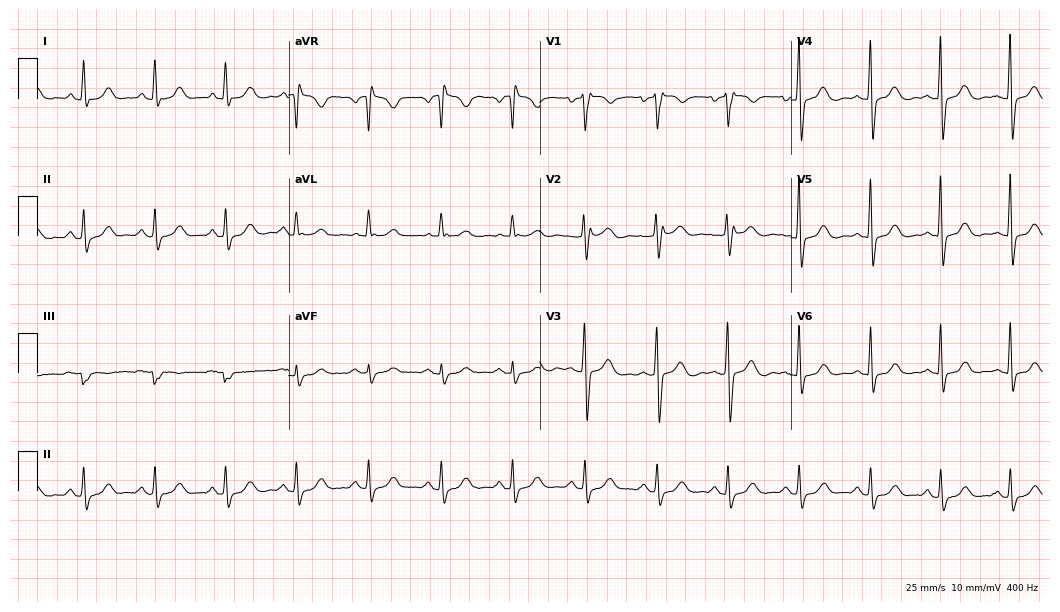
12-lead ECG from a 49-year-old woman. No first-degree AV block, right bundle branch block (RBBB), left bundle branch block (LBBB), sinus bradycardia, atrial fibrillation (AF) or sinus tachycardia recorded for this tracing.